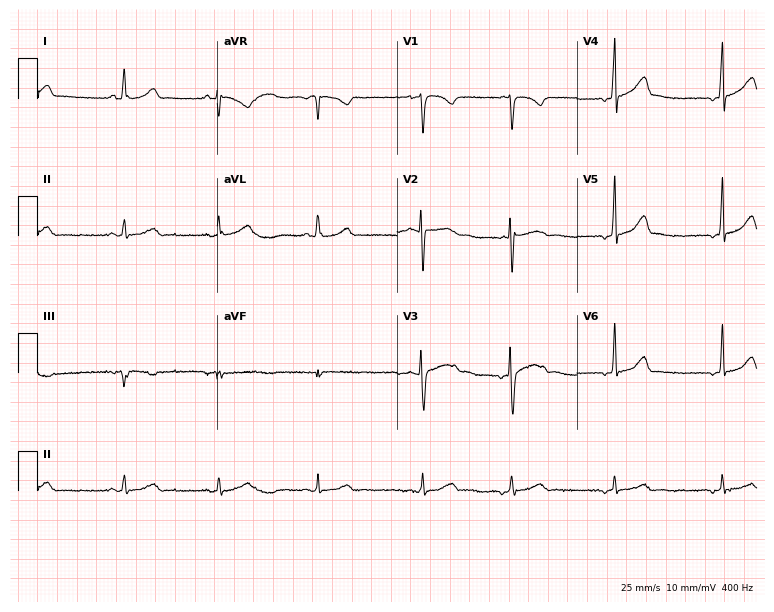
Resting 12-lead electrocardiogram. Patient: a woman, 19 years old. None of these six findings is recorded: first-degree AV block, right bundle branch block, left bundle branch block, sinus bradycardia, atrial fibrillation, sinus tachycardia.